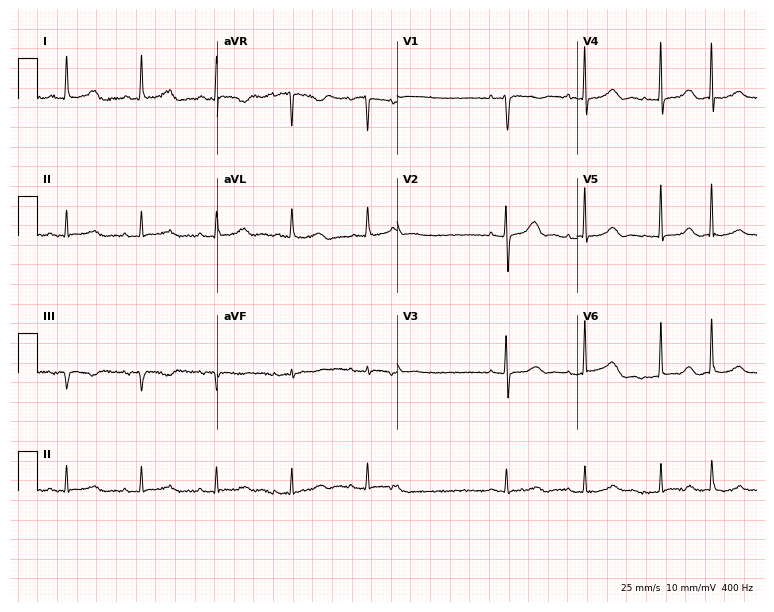
12-lead ECG from a woman, 78 years old. Screened for six findings — first-degree AV block, right bundle branch block, left bundle branch block, sinus bradycardia, atrial fibrillation, sinus tachycardia — none is recorded. Only these six findings were labelled.